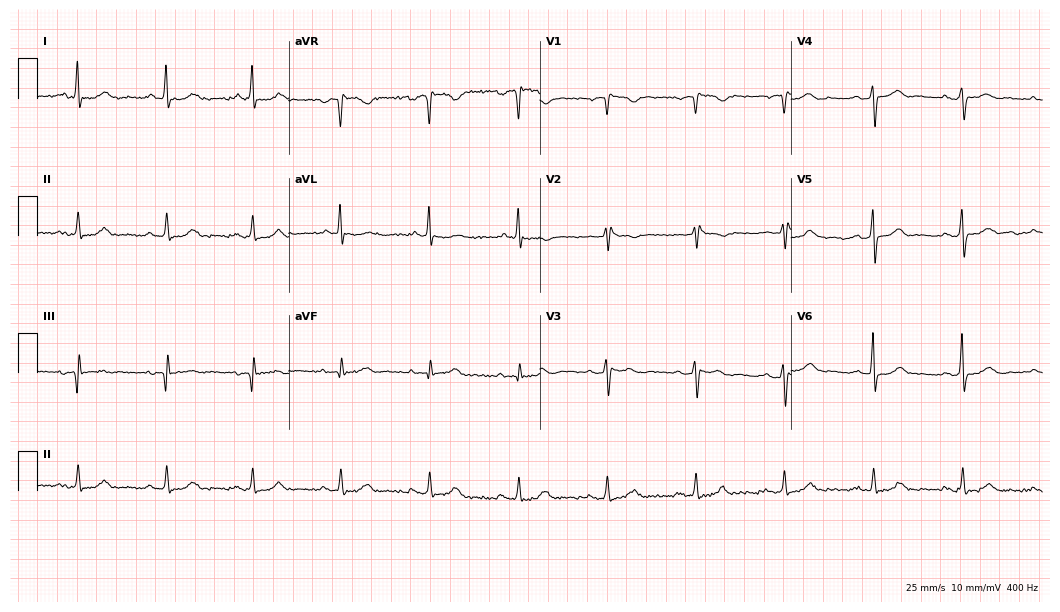
Standard 12-lead ECG recorded from a man, 84 years old (10.2-second recording at 400 Hz). Read as a normal ECG.